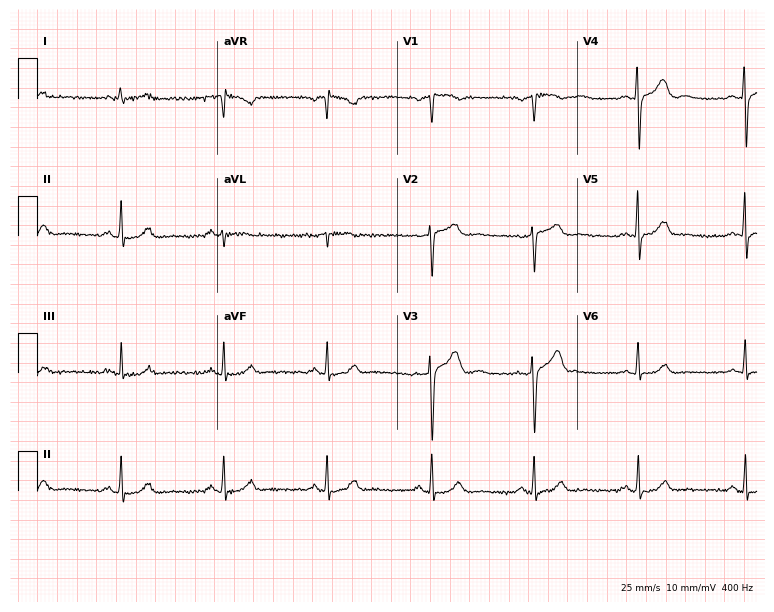
Standard 12-lead ECG recorded from a man, 59 years old (7.3-second recording at 400 Hz). Read as a normal ECG.